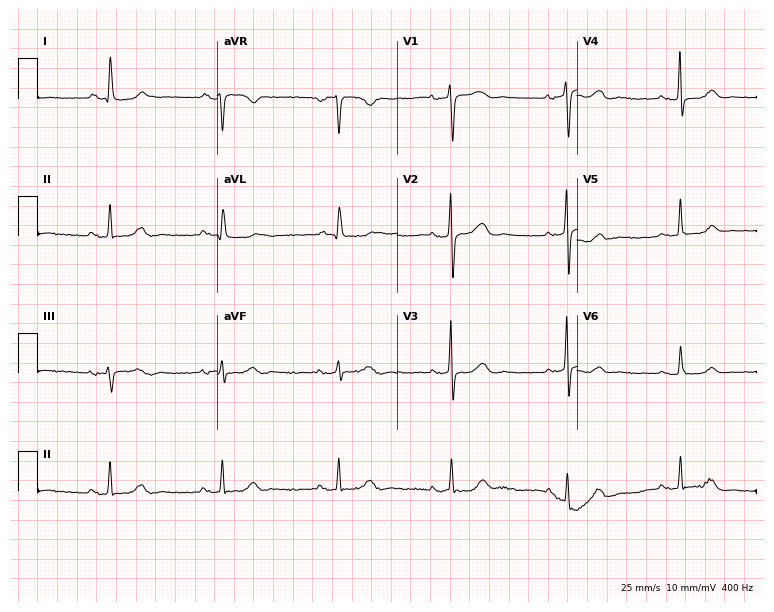
Resting 12-lead electrocardiogram. Patient: an 81-year-old woman. None of these six findings is recorded: first-degree AV block, right bundle branch block (RBBB), left bundle branch block (LBBB), sinus bradycardia, atrial fibrillation (AF), sinus tachycardia.